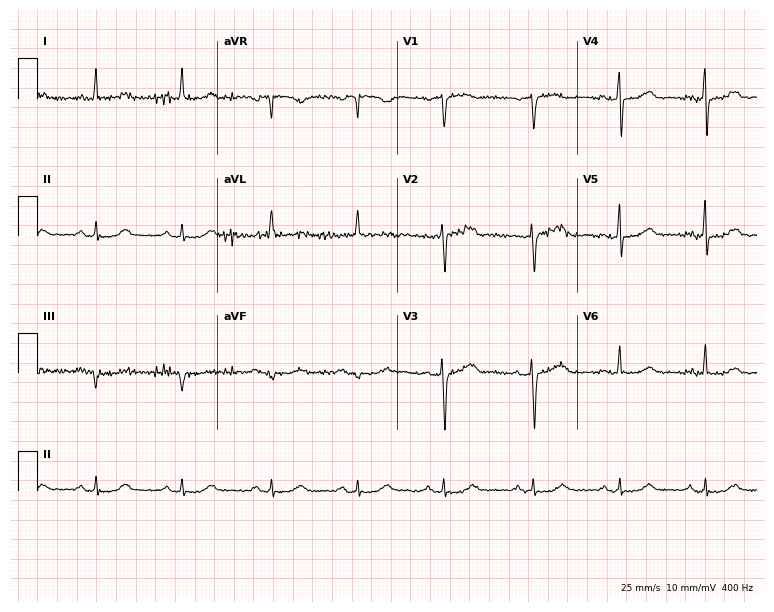
Standard 12-lead ECG recorded from a 59-year-old woman. Read as a normal ECG.